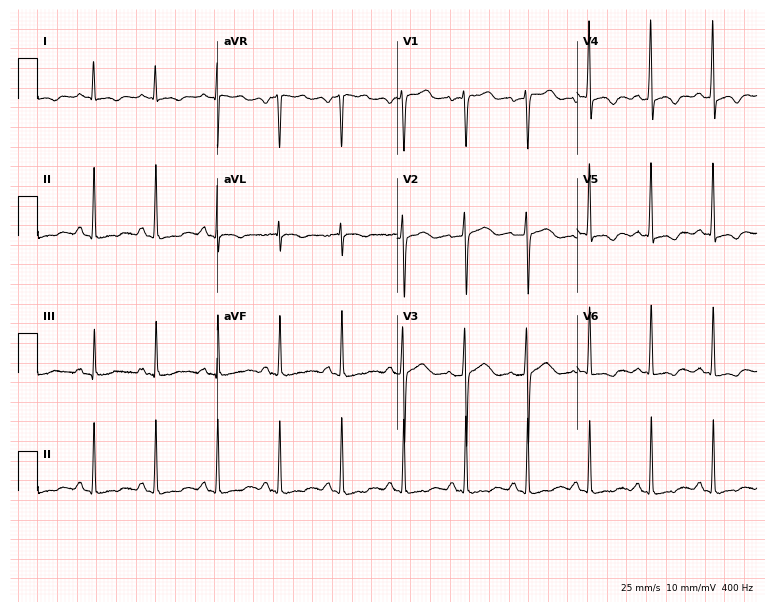
ECG (7.3-second recording at 400 Hz) — a 66-year-old female patient. Screened for six findings — first-degree AV block, right bundle branch block, left bundle branch block, sinus bradycardia, atrial fibrillation, sinus tachycardia — none is recorded.